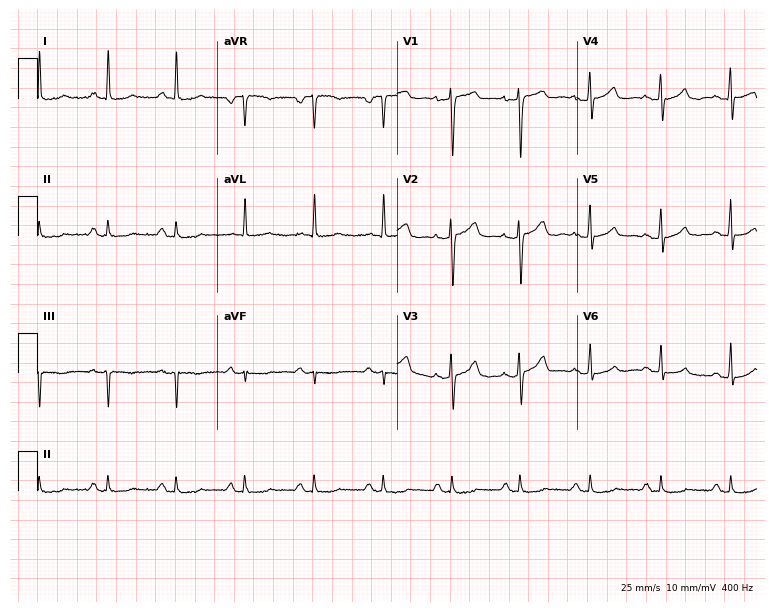
Resting 12-lead electrocardiogram. Patient: a female, 72 years old. None of these six findings is recorded: first-degree AV block, right bundle branch block, left bundle branch block, sinus bradycardia, atrial fibrillation, sinus tachycardia. Only these six findings were labelled.